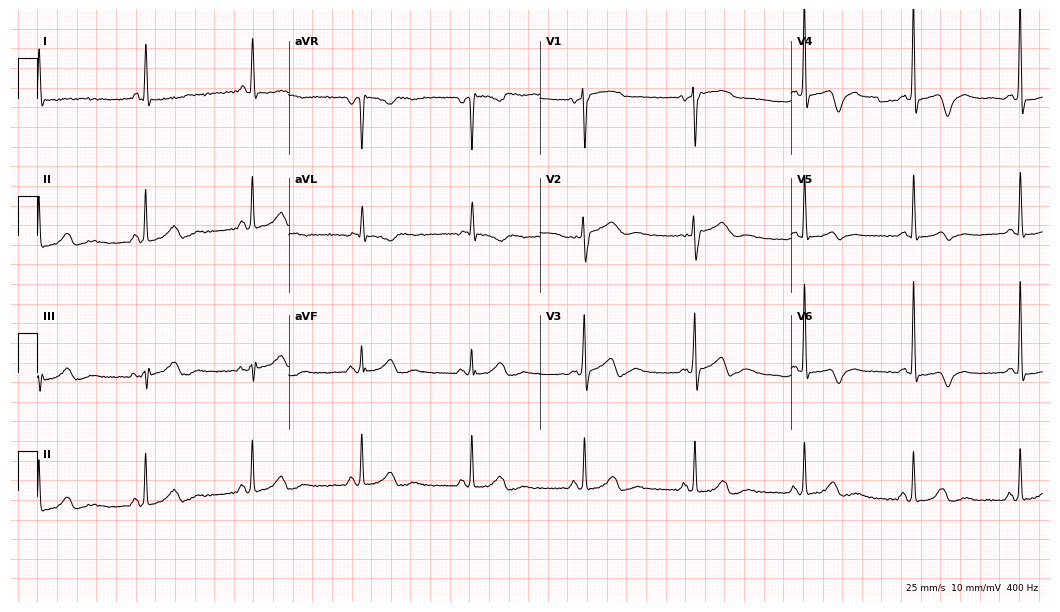
Resting 12-lead electrocardiogram. Patient: a 67-year-old female. None of these six findings is recorded: first-degree AV block, right bundle branch block, left bundle branch block, sinus bradycardia, atrial fibrillation, sinus tachycardia. Other findings, if any, are not listed.